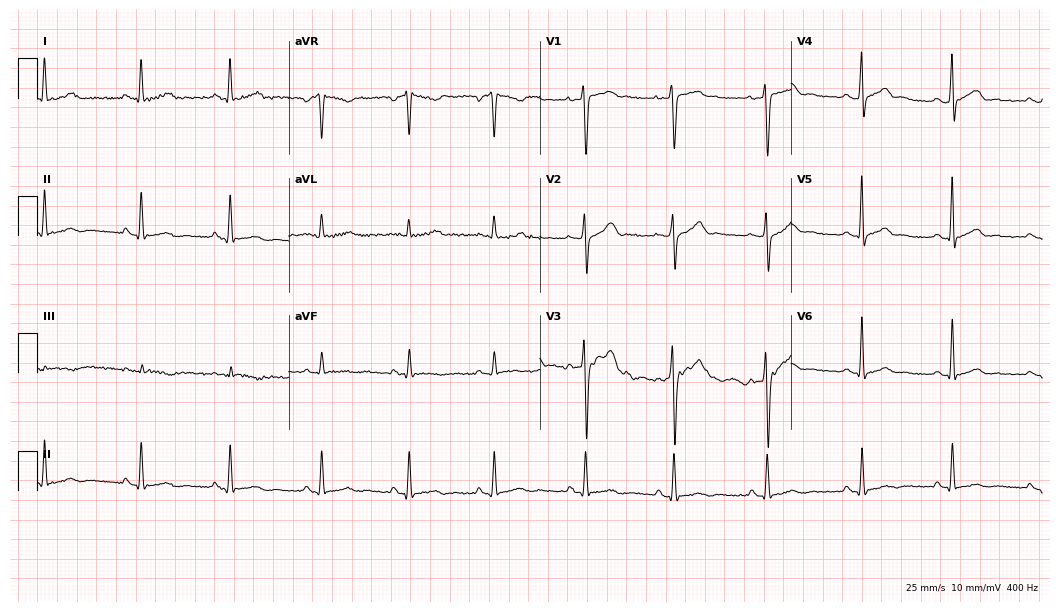
Electrocardiogram, a 24-year-old male patient. Overall reading on record: normal ECG.